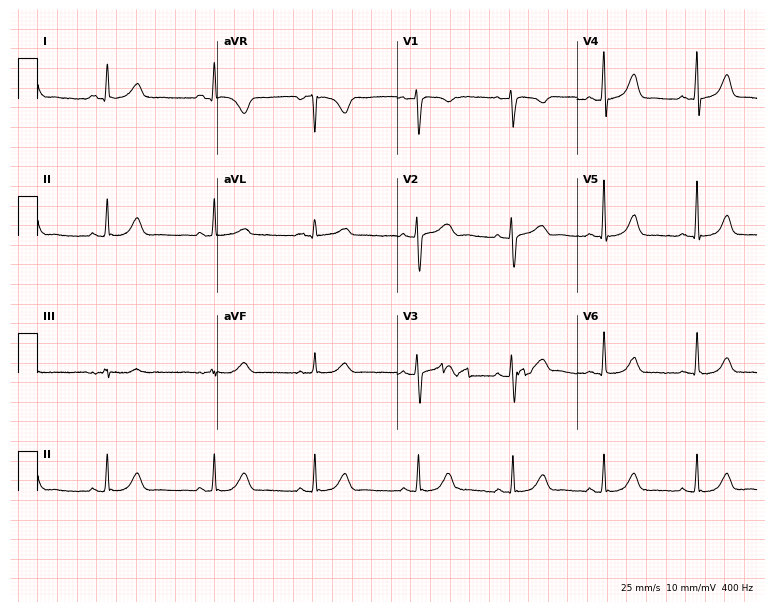
ECG (7.3-second recording at 400 Hz) — a female patient, 44 years old. Screened for six findings — first-degree AV block, right bundle branch block (RBBB), left bundle branch block (LBBB), sinus bradycardia, atrial fibrillation (AF), sinus tachycardia — none is recorded.